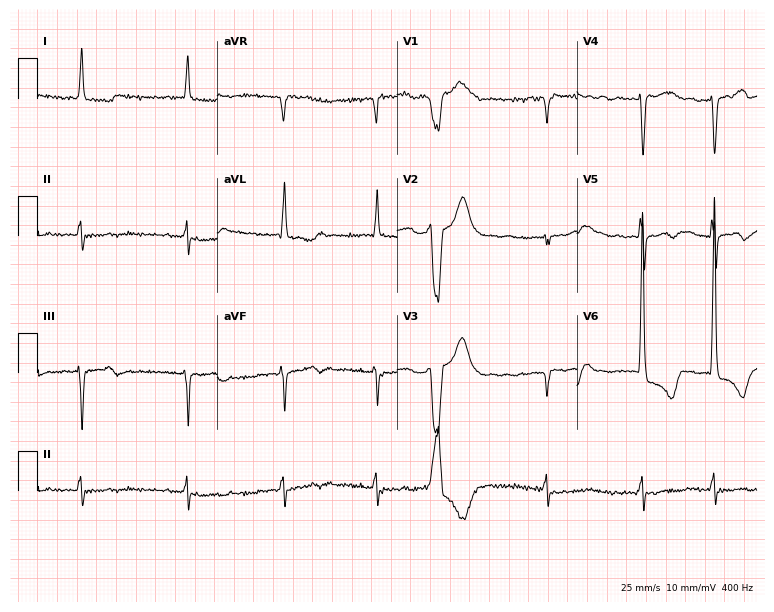
Electrocardiogram, a male, 77 years old. Of the six screened findings (first-degree AV block, right bundle branch block, left bundle branch block, sinus bradycardia, atrial fibrillation, sinus tachycardia), none is recorded.